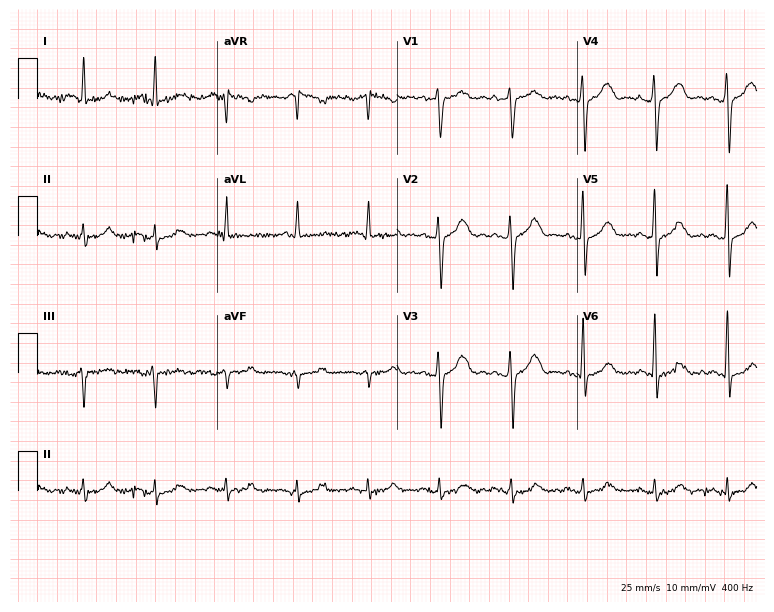
Resting 12-lead electrocardiogram. Patient: a 60-year-old man. None of these six findings is recorded: first-degree AV block, right bundle branch block, left bundle branch block, sinus bradycardia, atrial fibrillation, sinus tachycardia. Other findings, if any, are not listed.